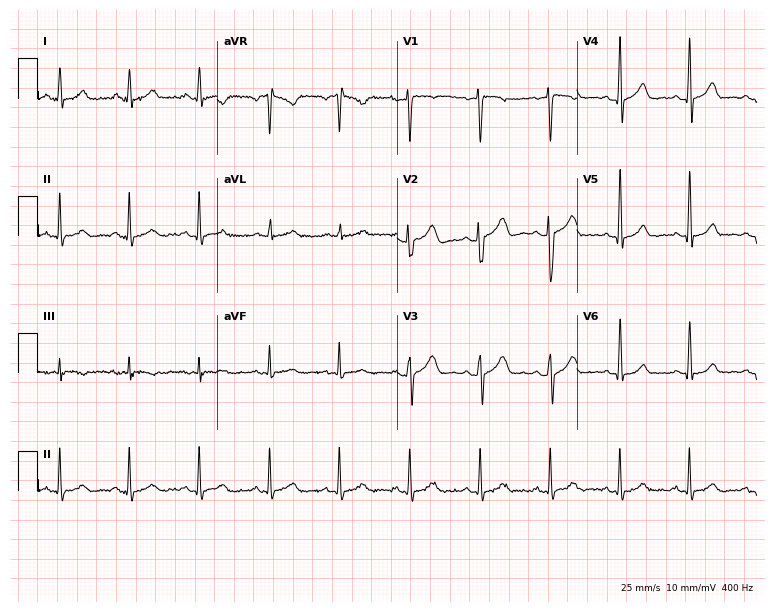
Standard 12-lead ECG recorded from a male patient, 43 years old. None of these six findings is recorded: first-degree AV block, right bundle branch block (RBBB), left bundle branch block (LBBB), sinus bradycardia, atrial fibrillation (AF), sinus tachycardia.